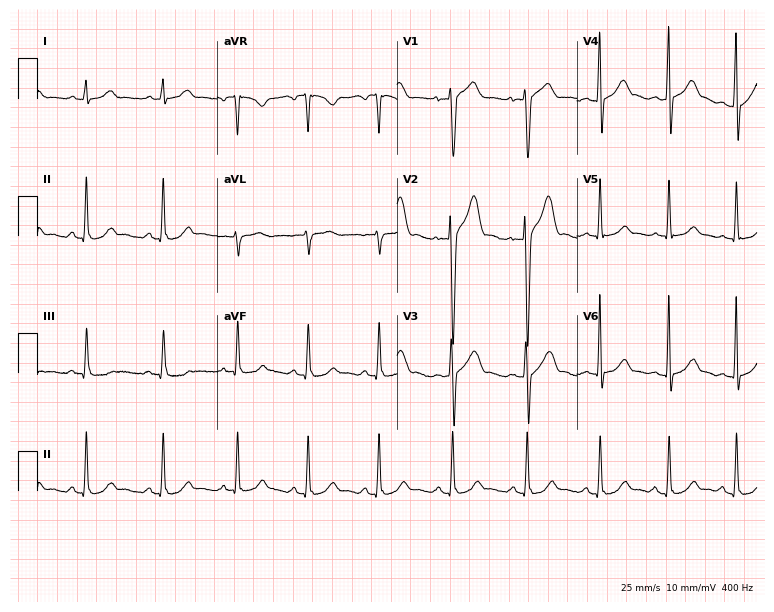
Electrocardiogram, a 17-year-old male. Overall reading on record: normal ECG.